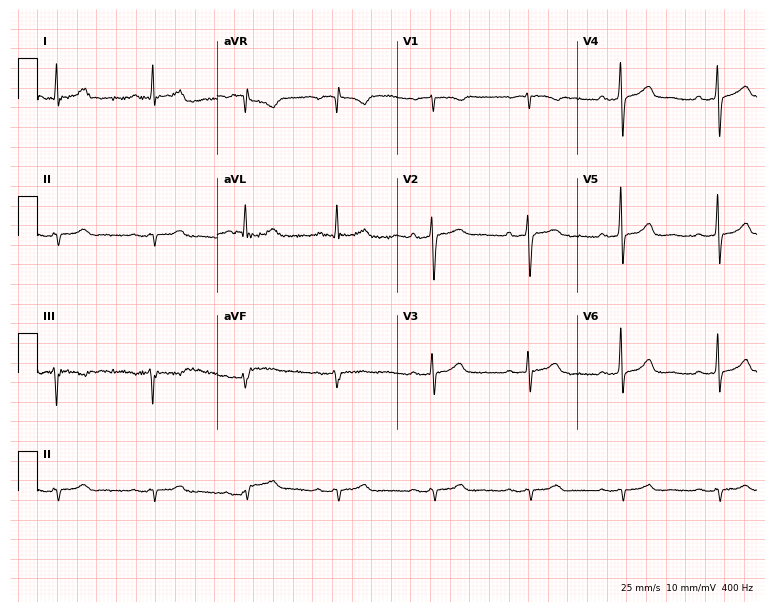
Standard 12-lead ECG recorded from a male patient, 71 years old (7.3-second recording at 400 Hz). None of these six findings is recorded: first-degree AV block, right bundle branch block, left bundle branch block, sinus bradycardia, atrial fibrillation, sinus tachycardia.